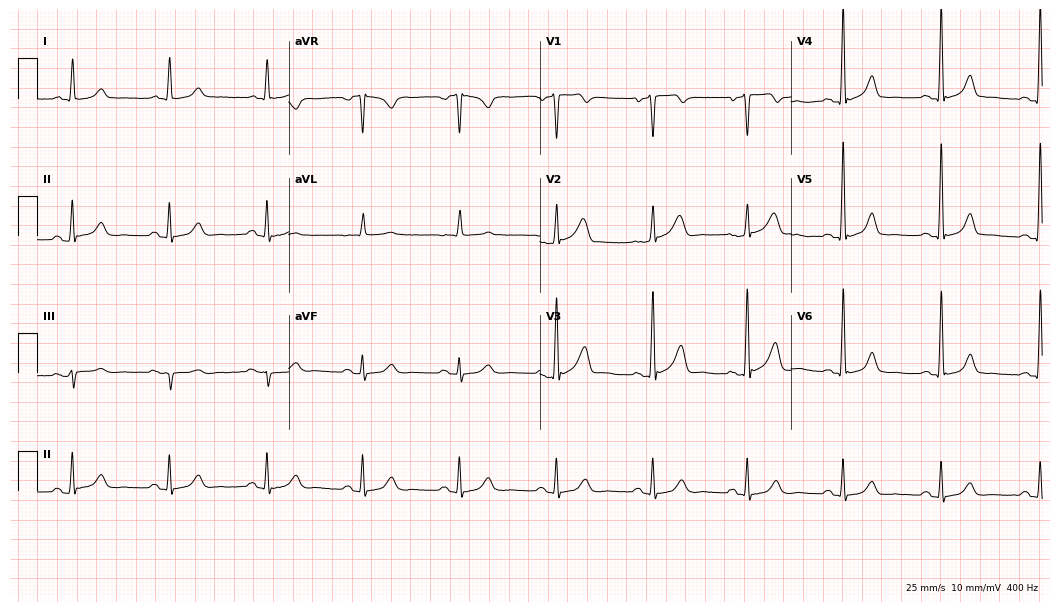
12-lead ECG from a 71-year-old man (10.2-second recording at 400 Hz). Recorded interpretation: within normal limits.